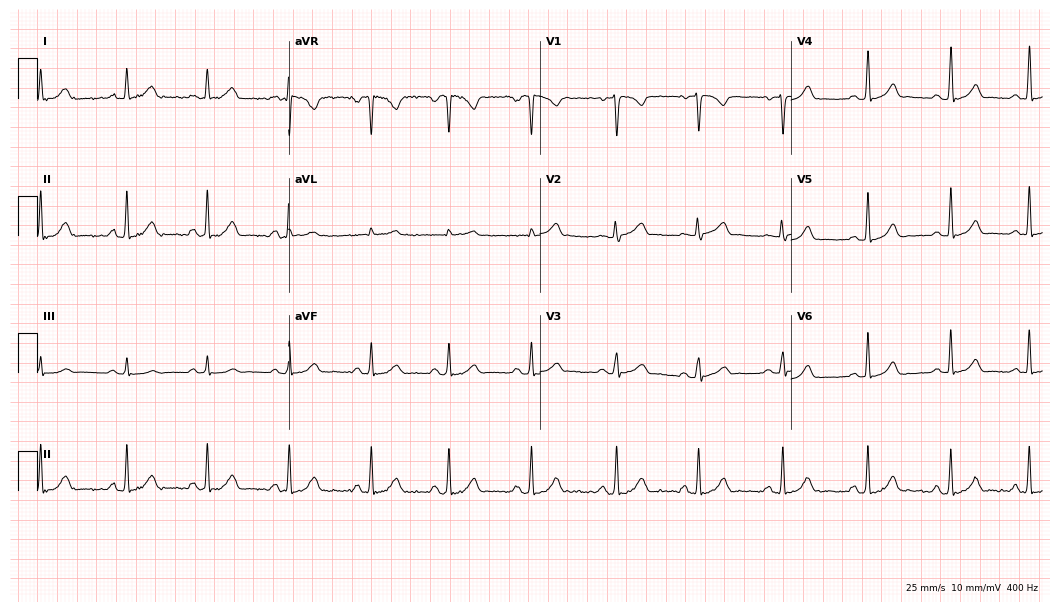
Standard 12-lead ECG recorded from a 30-year-old female (10.2-second recording at 400 Hz). None of these six findings is recorded: first-degree AV block, right bundle branch block (RBBB), left bundle branch block (LBBB), sinus bradycardia, atrial fibrillation (AF), sinus tachycardia.